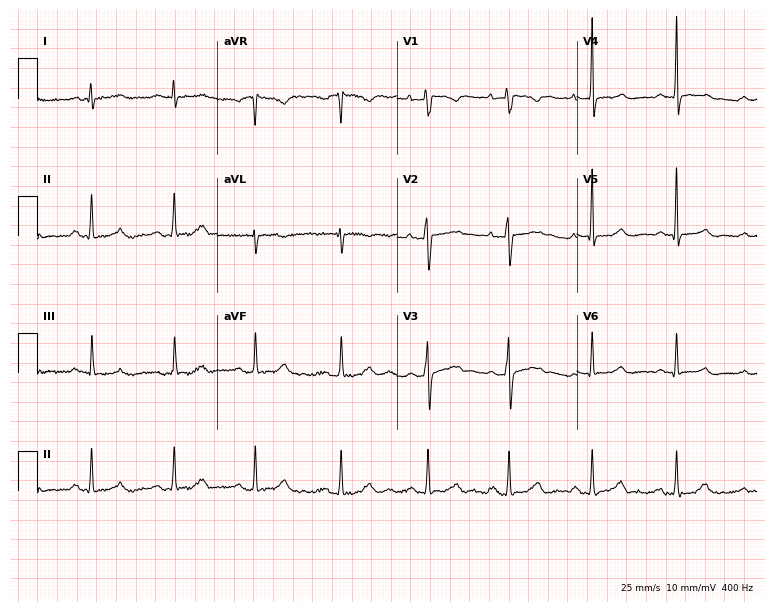
Resting 12-lead electrocardiogram (7.3-second recording at 400 Hz). Patient: a female, 26 years old. None of these six findings is recorded: first-degree AV block, right bundle branch block, left bundle branch block, sinus bradycardia, atrial fibrillation, sinus tachycardia. Other findings, if any, are not listed.